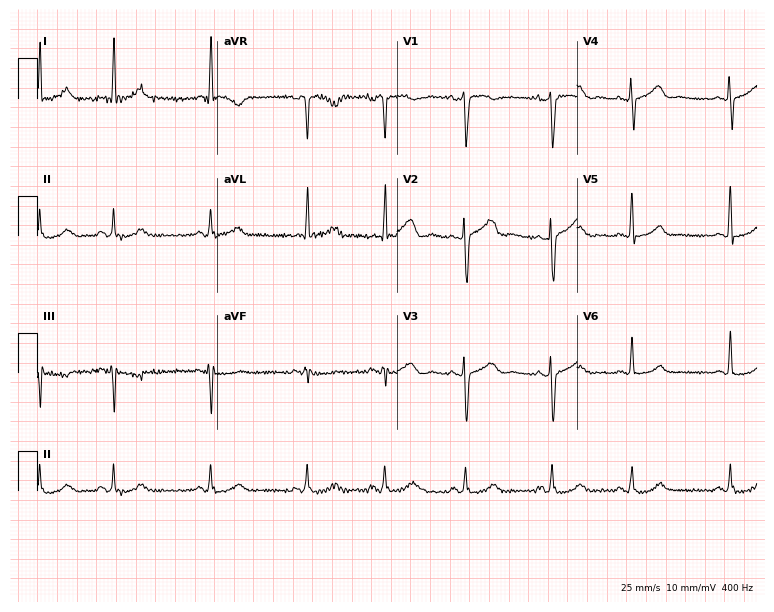
12-lead ECG from a 59-year-old female. Recorded interpretation: within normal limits.